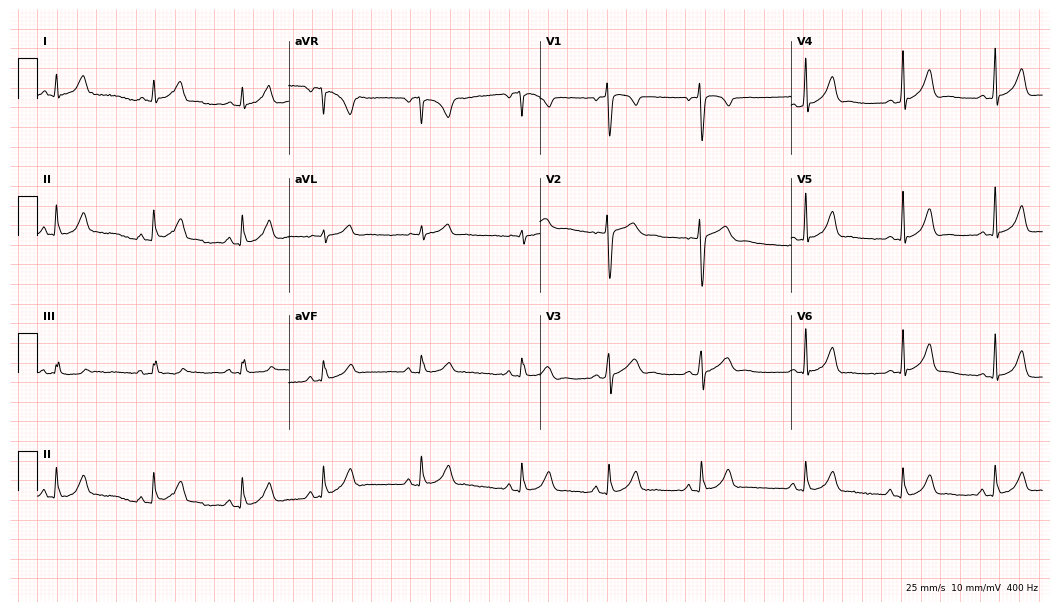
12-lead ECG from a woman, 18 years old. Labelled as a normal ECG.